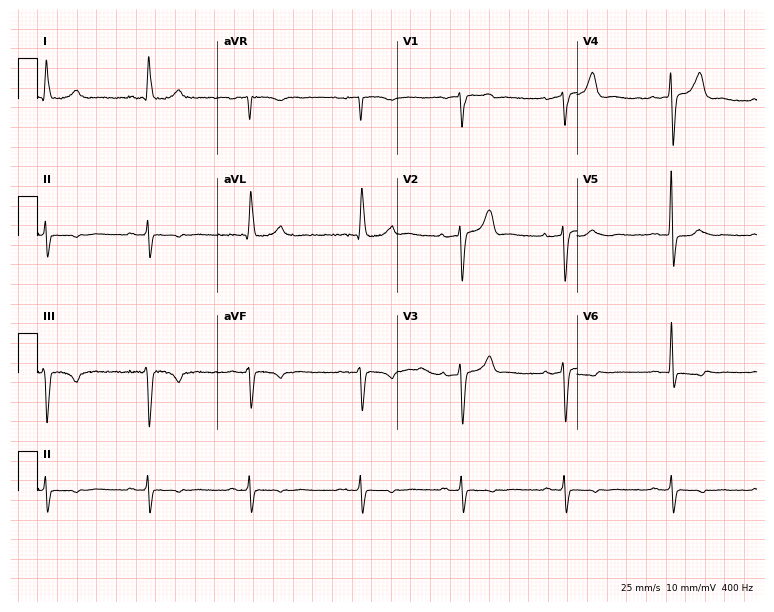
Standard 12-lead ECG recorded from a female, 81 years old (7.3-second recording at 400 Hz). None of these six findings is recorded: first-degree AV block, right bundle branch block, left bundle branch block, sinus bradycardia, atrial fibrillation, sinus tachycardia. Only these six findings were labelled.